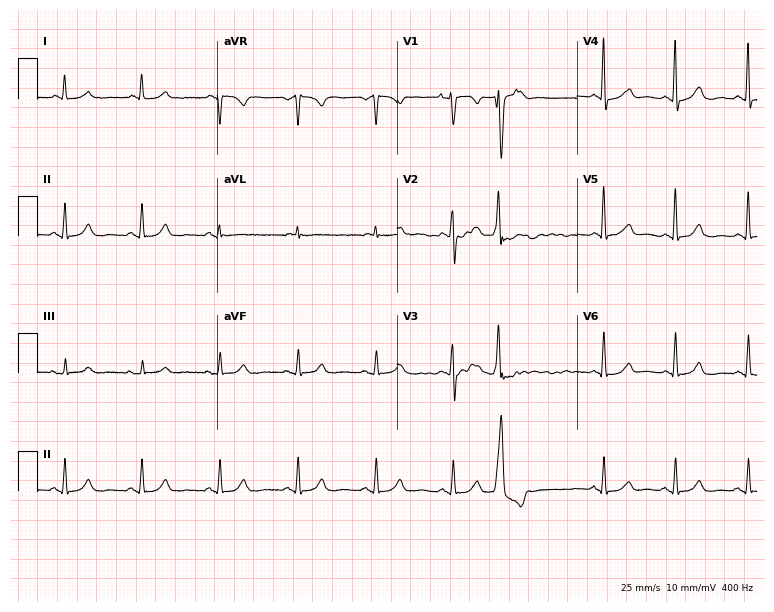
ECG (7.3-second recording at 400 Hz) — a female, 67 years old. Labelled as a normal ECG.